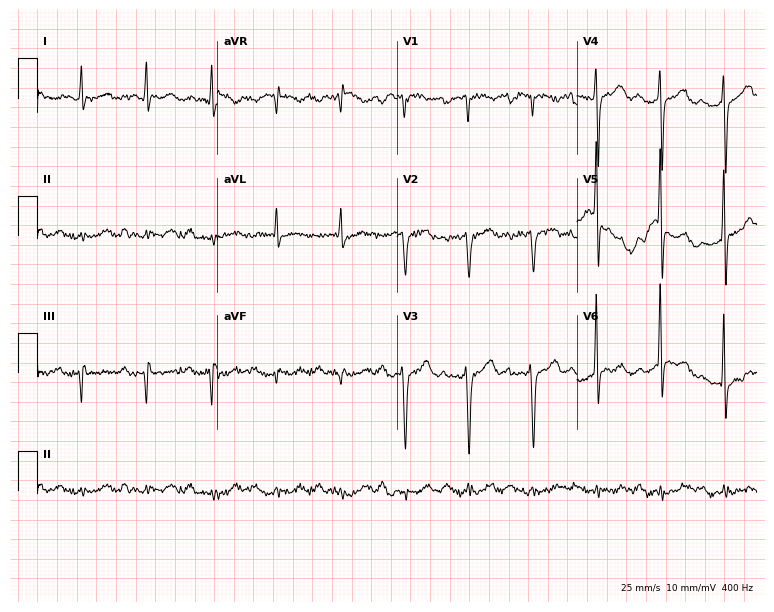
Standard 12-lead ECG recorded from an 87-year-old man (7.3-second recording at 400 Hz). The tracing shows first-degree AV block.